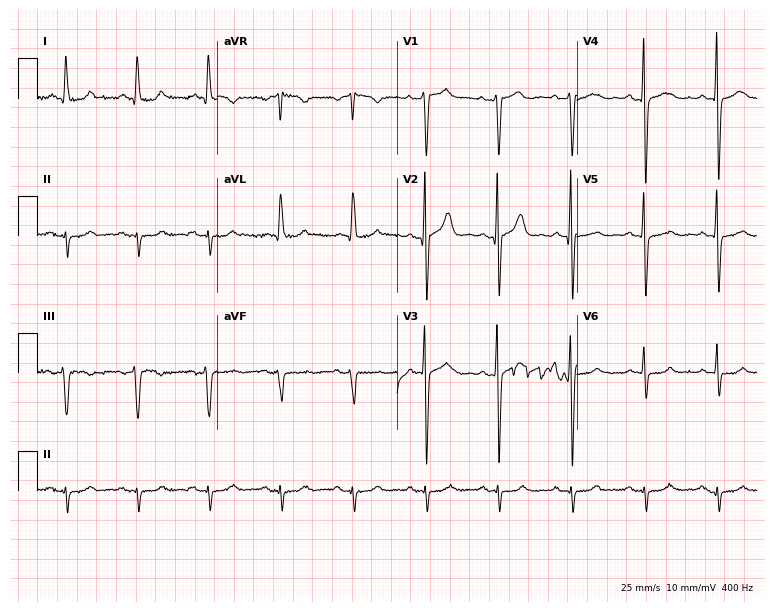
Resting 12-lead electrocardiogram (7.3-second recording at 400 Hz). Patient: a 77-year-old male. None of these six findings is recorded: first-degree AV block, right bundle branch block, left bundle branch block, sinus bradycardia, atrial fibrillation, sinus tachycardia.